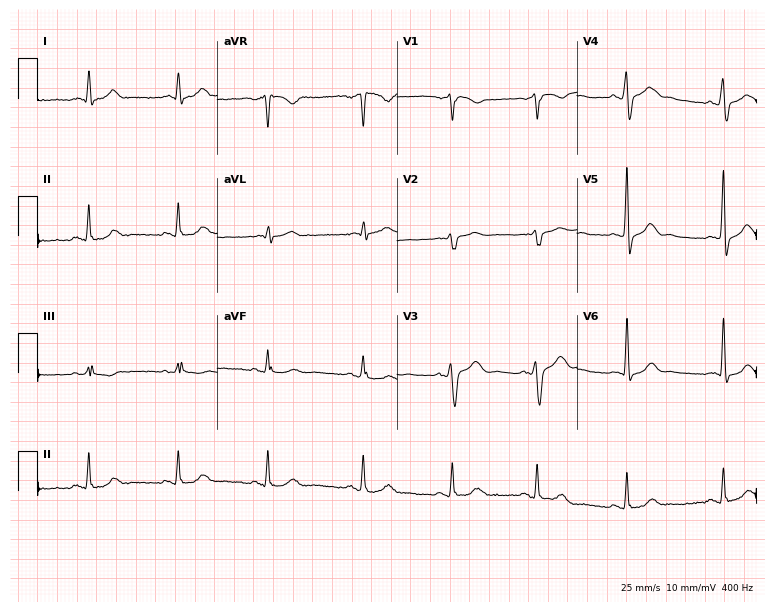
12-lead ECG from a male, 51 years old (7.3-second recording at 400 Hz). No first-degree AV block, right bundle branch block, left bundle branch block, sinus bradycardia, atrial fibrillation or sinus tachycardia recorded for this tracing. Only these six findings were labelled.